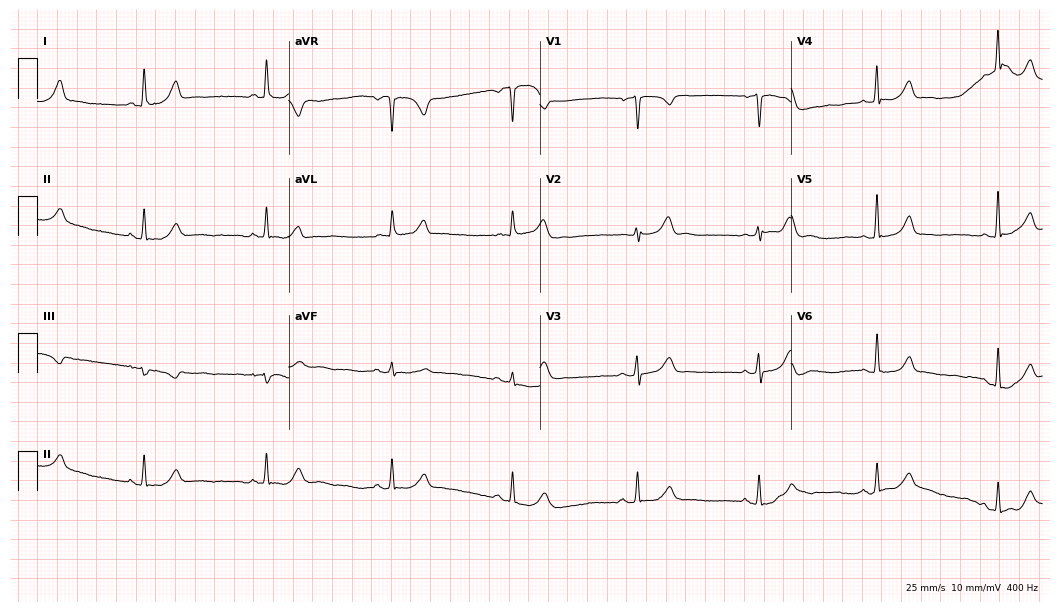
Electrocardiogram, a 58-year-old woman. Overall reading on record: normal ECG.